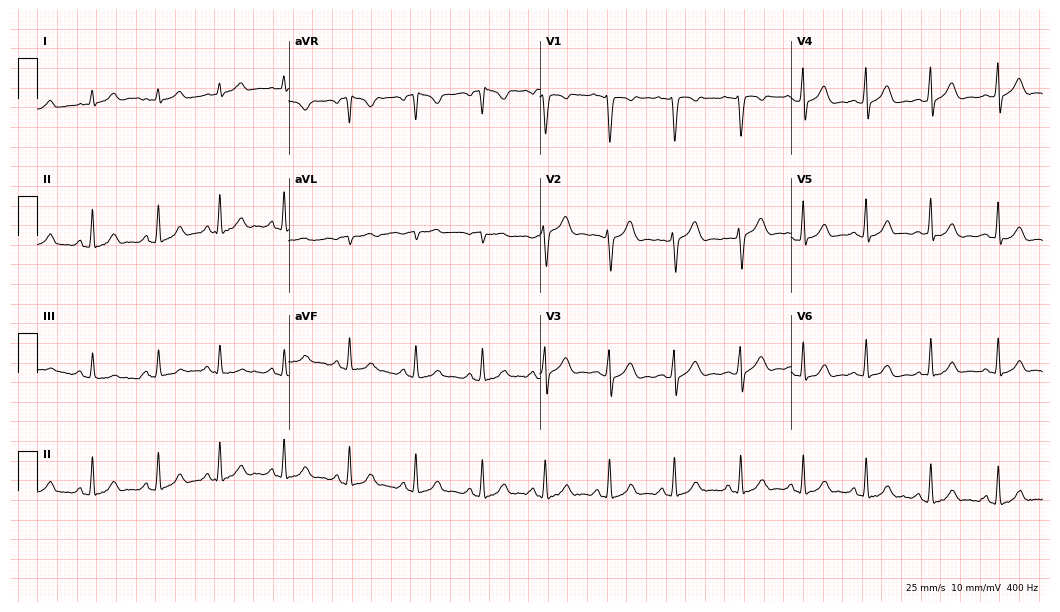
12-lead ECG from a woman, 27 years old. Recorded interpretation: within normal limits.